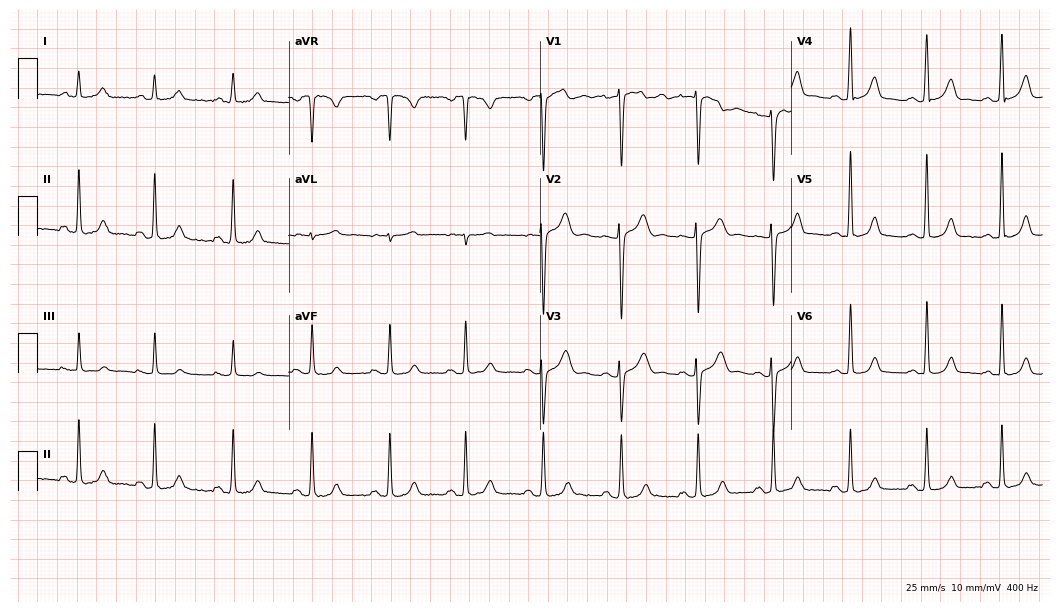
ECG (10.2-second recording at 400 Hz) — a female, 34 years old. Labelled as a normal ECG.